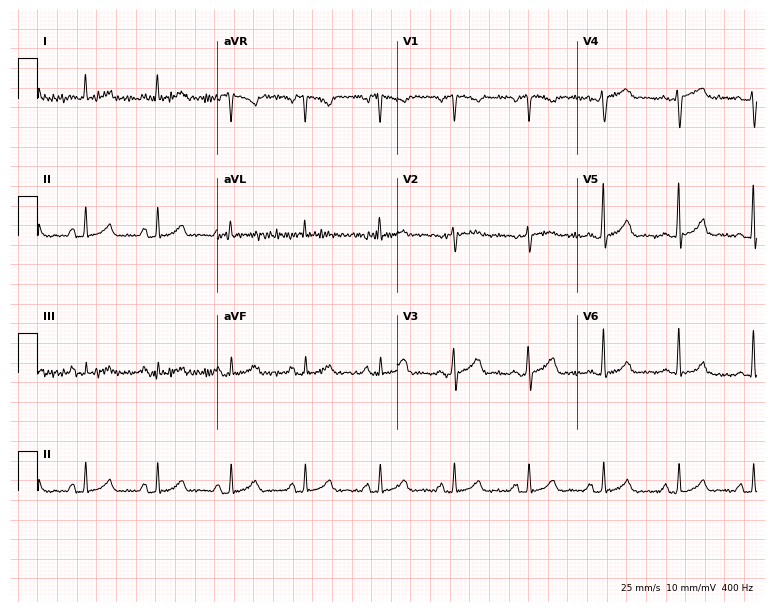
Standard 12-lead ECG recorded from a 60-year-old male. Read as a normal ECG.